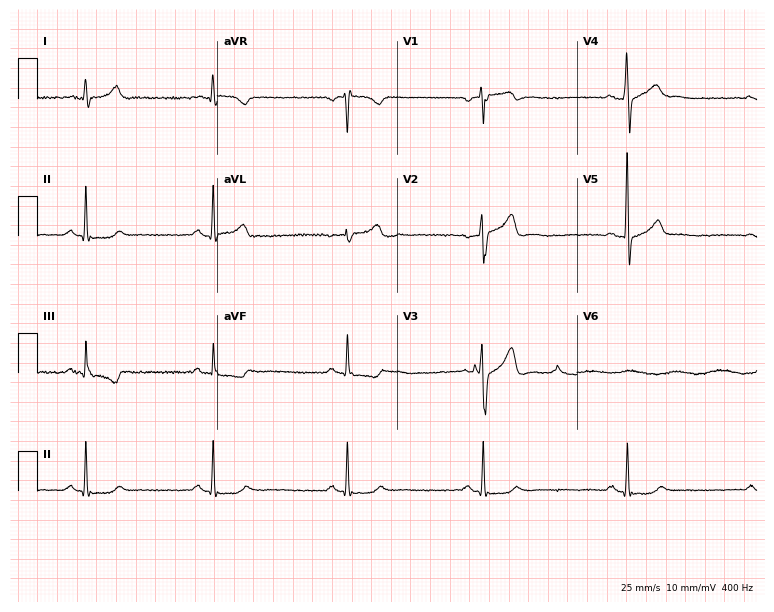
Electrocardiogram (7.3-second recording at 400 Hz), a 52-year-old male. Of the six screened findings (first-degree AV block, right bundle branch block, left bundle branch block, sinus bradycardia, atrial fibrillation, sinus tachycardia), none is recorded. Findings outside these six are not listed.